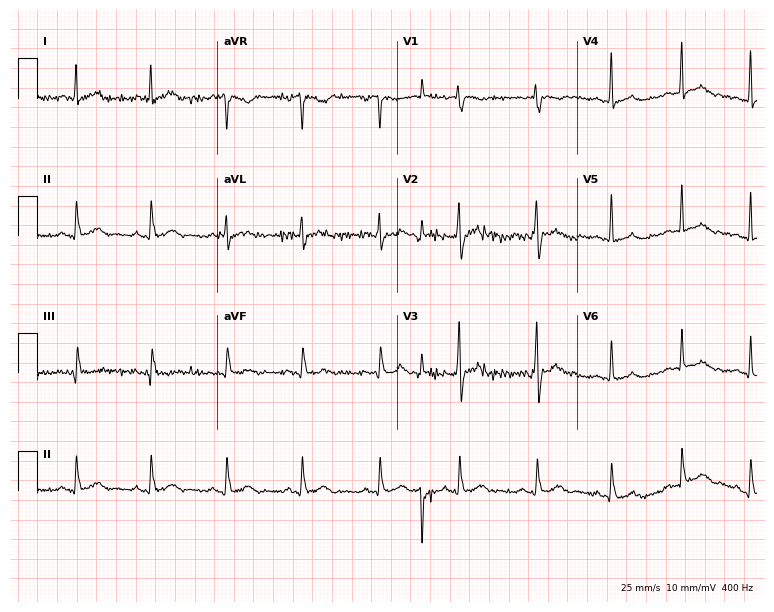
Electrocardiogram, a 27-year-old female patient. Overall reading on record: normal ECG.